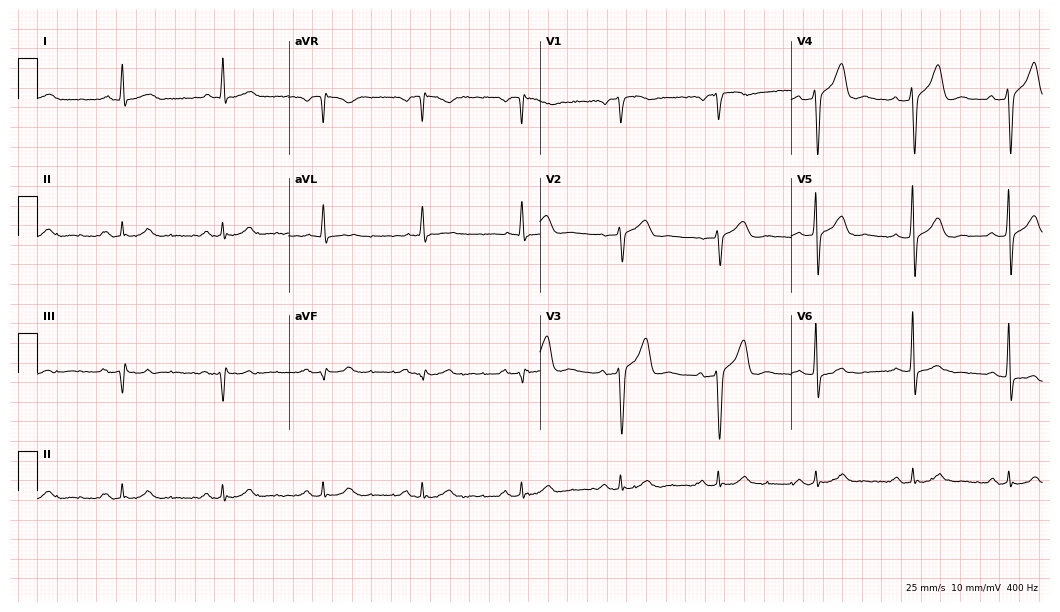
Resting 12-lead electrocardiogram (10.2-second recording at 400 Hz). Patient: a man, 65 years old. None of these six findings is recorded: first-degree AV block, right bundle branch block, left bundle branch block, sinus bradycardia, atrial fibrillation, sinus tachycardia.